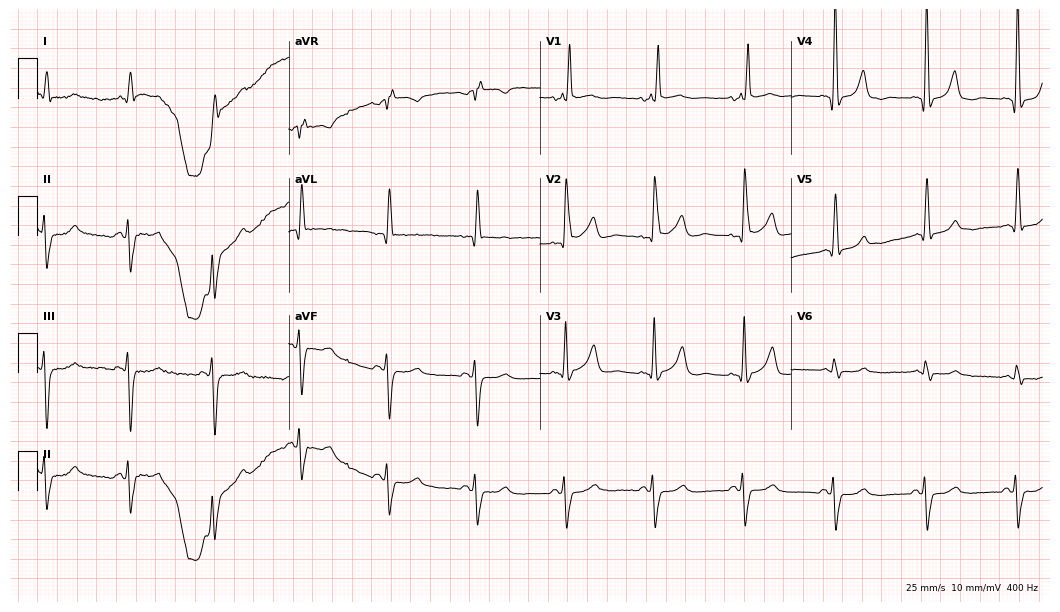
Electrocardiogram, a male, 74 years old. Of the six screened findings (first-degree AV block, right bundle branch block, left bundle branch block, sinus bradycardia, atrial fibrillation, sinus tachycardia), none is recorded. Other findings, if any, are not listed.